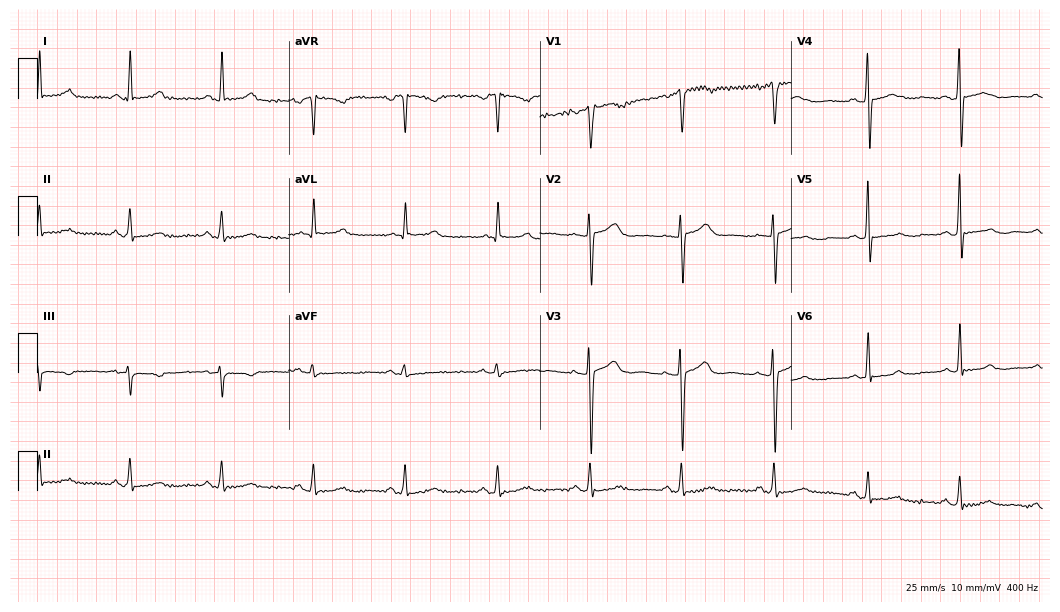
12-lead ECG from a woman, 67 years old (10.2-second recording at 400 Hz). No first-degree AV block, right bundle branch block (RBBB), left bundle branch block (LBBB), sinus bradycardia, atrial fibrillation (AF) or sinus tachycardia recorded for this tracing.